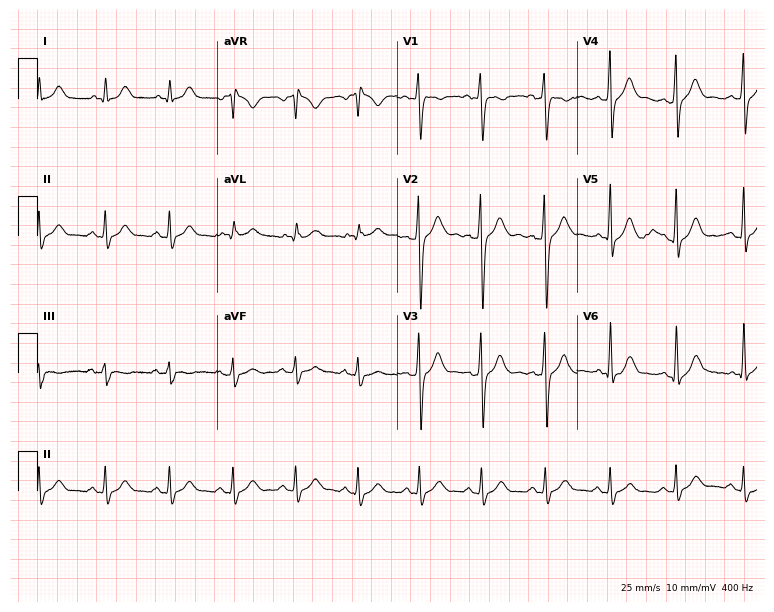
Standard 12-lead ECG recorded from a 25-year-old man (7.3-second recording at 400 Hz). Read as a normal ECG.